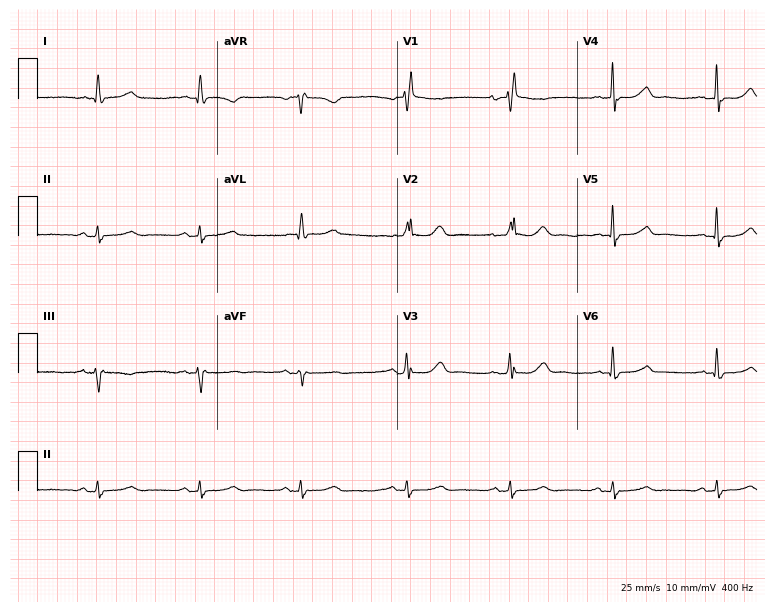
12-lead ECG from a female patient, 73 years old (7.3-second recording at 400 Hz). No first-degree AV block, right bundle branch block, left bundle branch block, sinus bradycardia, atrial fibrillation or sinus tachycardia recorded for this tracing. Other findings, if any, are not listed.